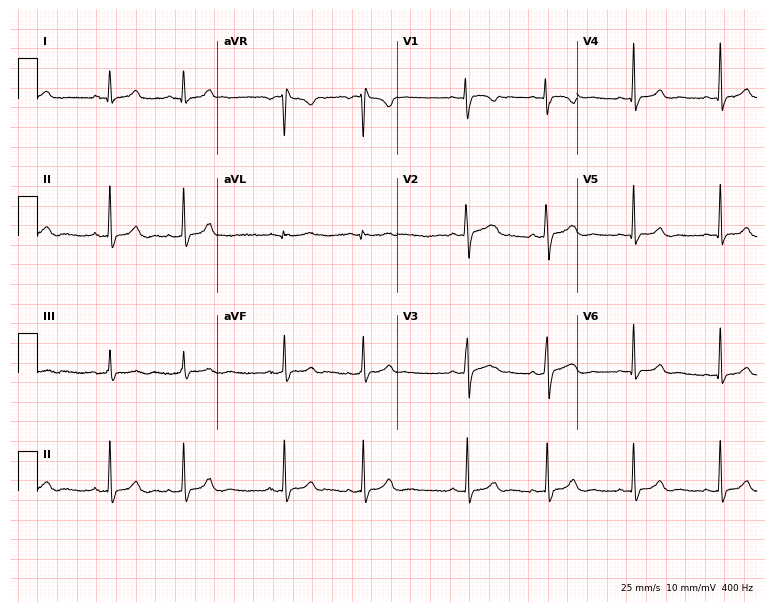
Resting 12-lead electrocardiogram (7.3-second recording at 400 Hz). Patient: an 18-year-old woman. Read as a normal ECG.